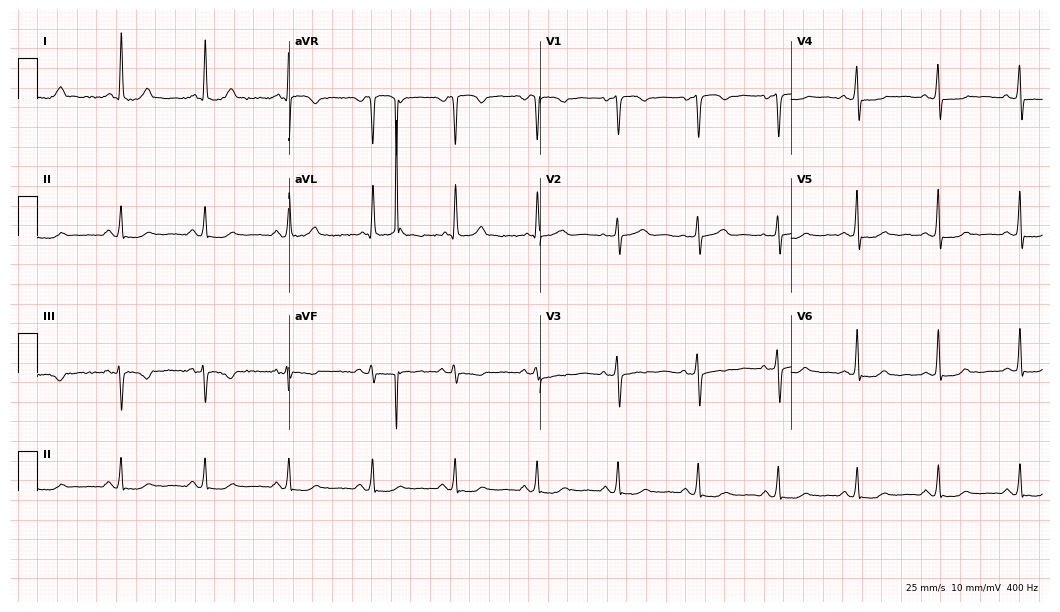
12-lead ECG from a 74-year-old female patient (10.2-second recording at 400 Hz). Recorded interpretation: within normal limits.